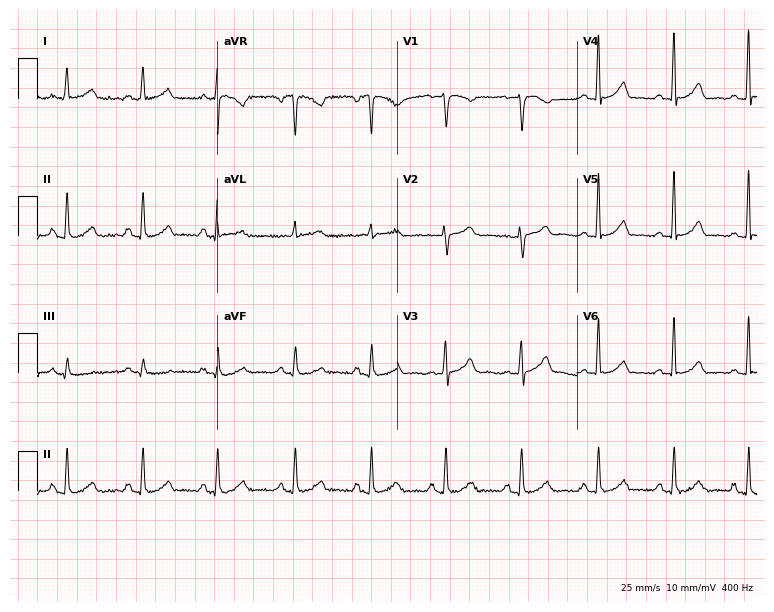
ECG — a 57-year-old female. Labelled as a normal ECG.